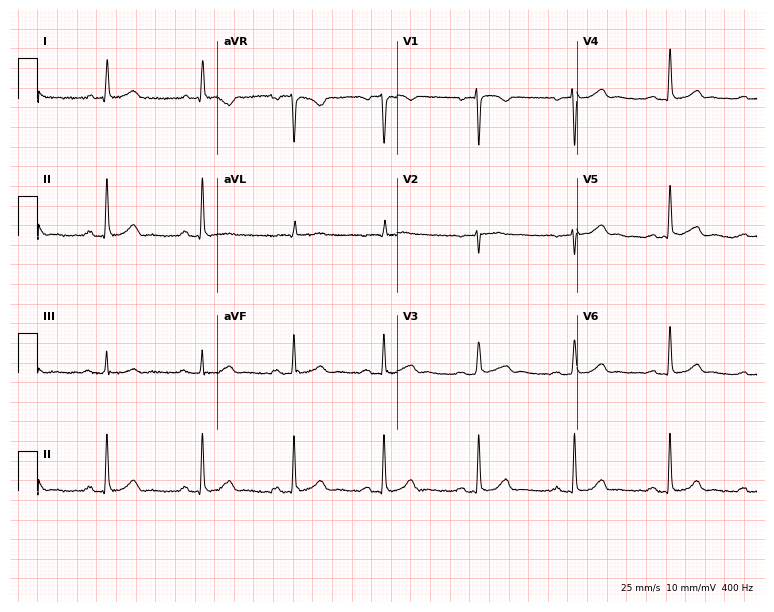
ECG (7.3-second recording at 400 Hz) — a woman, 50 years old. Labelled as a normal ECG.